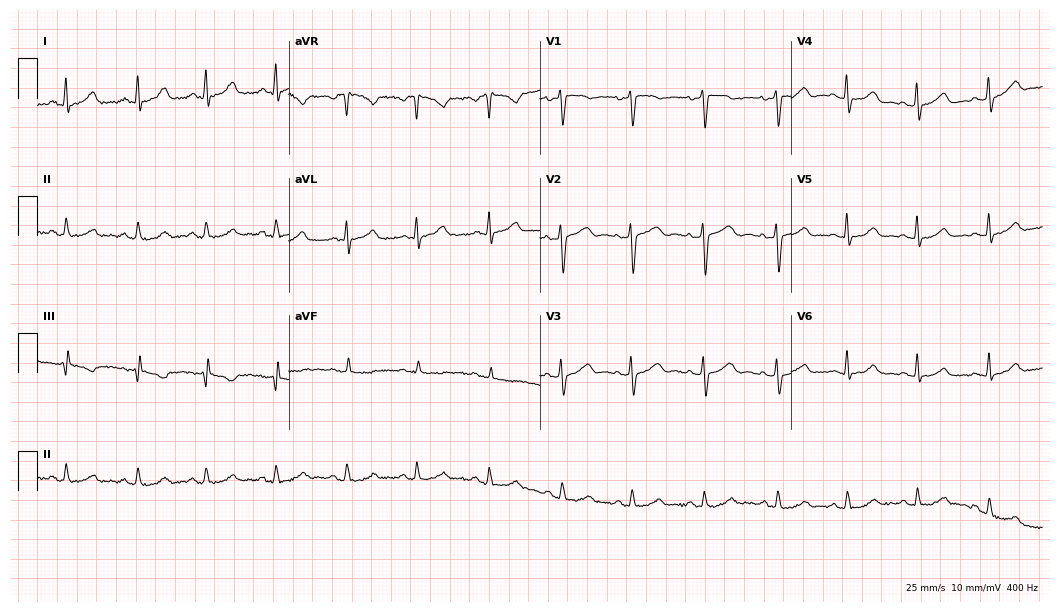
ECG (10.2-second recording at 400 Hz) — a 46-year-old female. Labelled as a normal ECG.